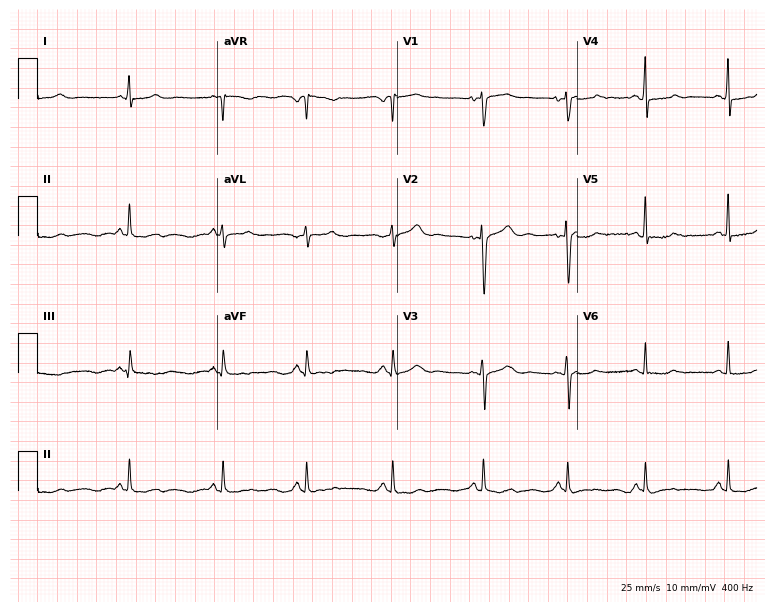
12-lead ECG from a woman, 34 years old (7.3-second recording at 400 Hz). No first-degree AV block, right bundle branch block (RBBB), left bundle branch block (LBBB), sinus bradycardia, atrial fibrillation (AF) or sinus tachycardia recorded for this tracing. Other findings, if any, are not listed.